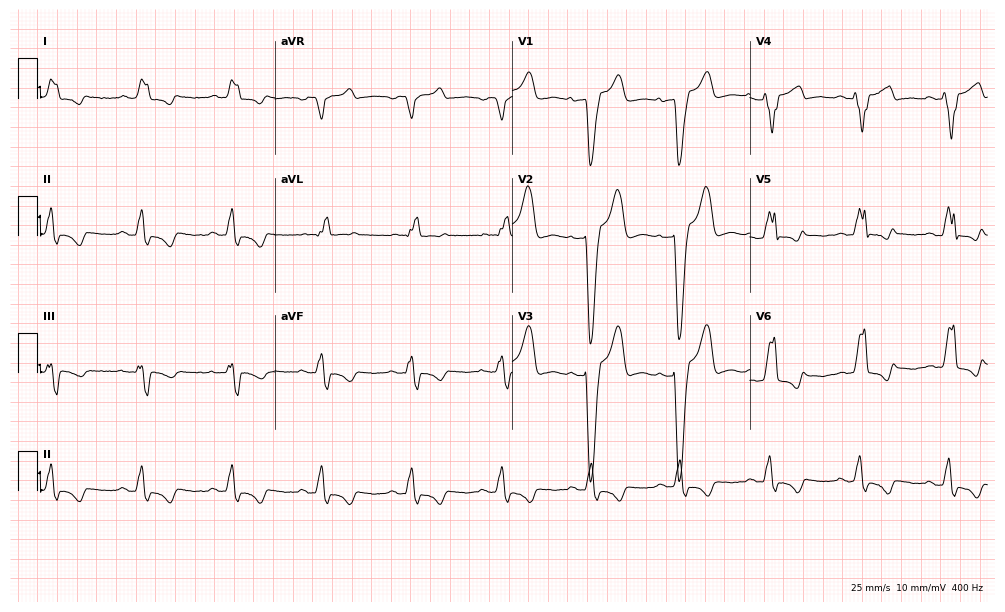
Electrocardiogram (9.7-second recording at 400 Hz), an 88-year-old male. Interpretation includes left bundle branch block.